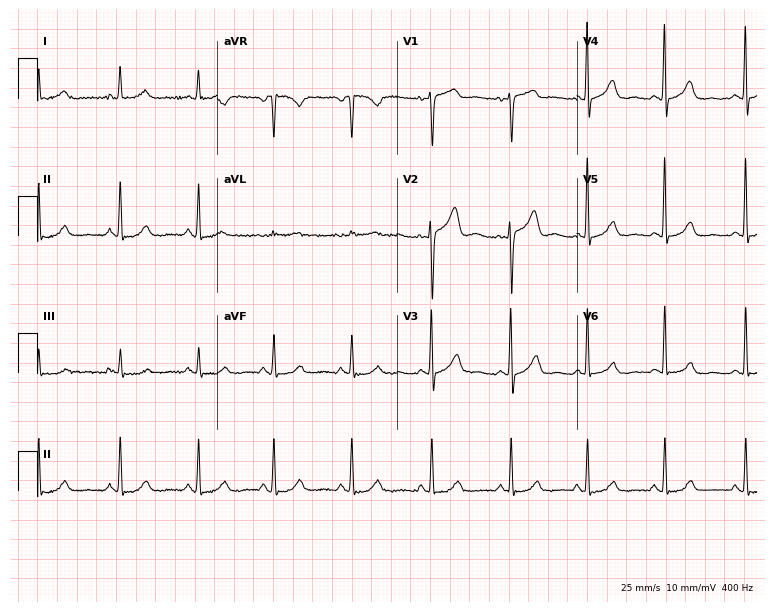
12-lead ECG (7.3-second recording at 400 Hz) from a woman, 40 years old. Labelled as a normal ECG.